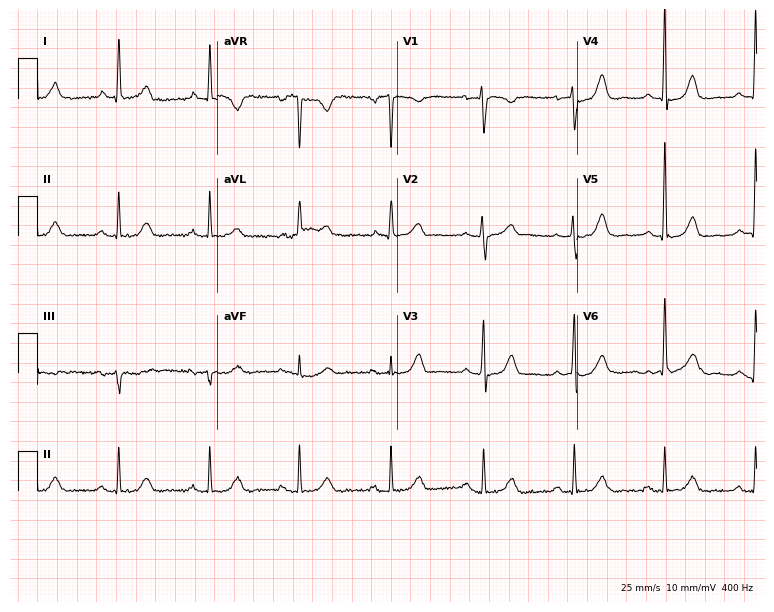
Standard 12-lead ECG recorded from a female patient, 70 years old. Read as a normal ECG.